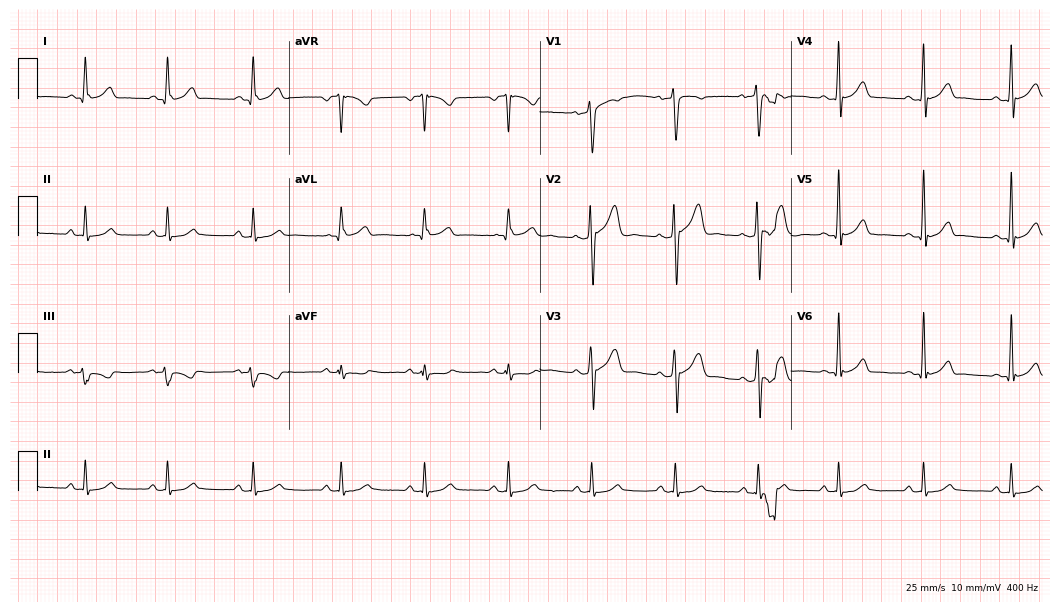
12-lead ECG from a male patient, 40 years old. Recorded interpretation: within normal limits.